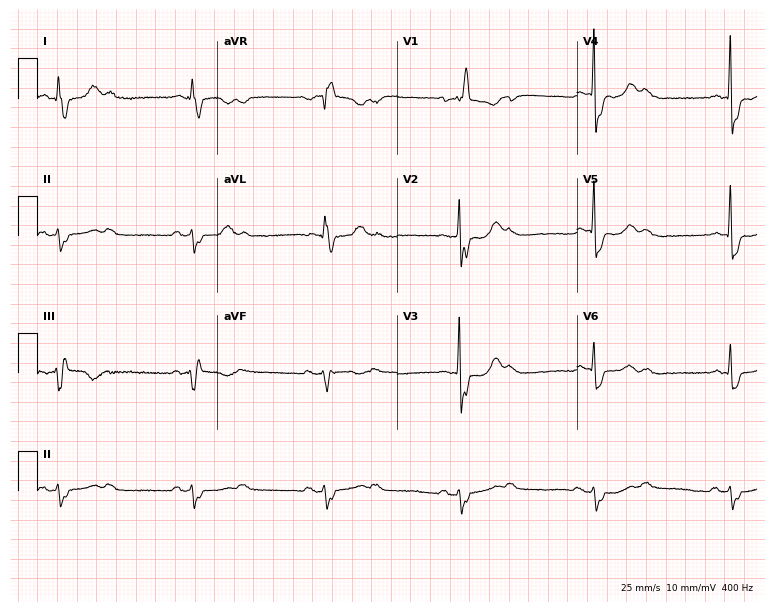
12-lead ECG from a female patient, 67 years old (7.3-second recording at 400 Hz). Shows right bundle branch block (RBBB), sinus bradycardia (a sinus rate of 50 beats per minute or less).